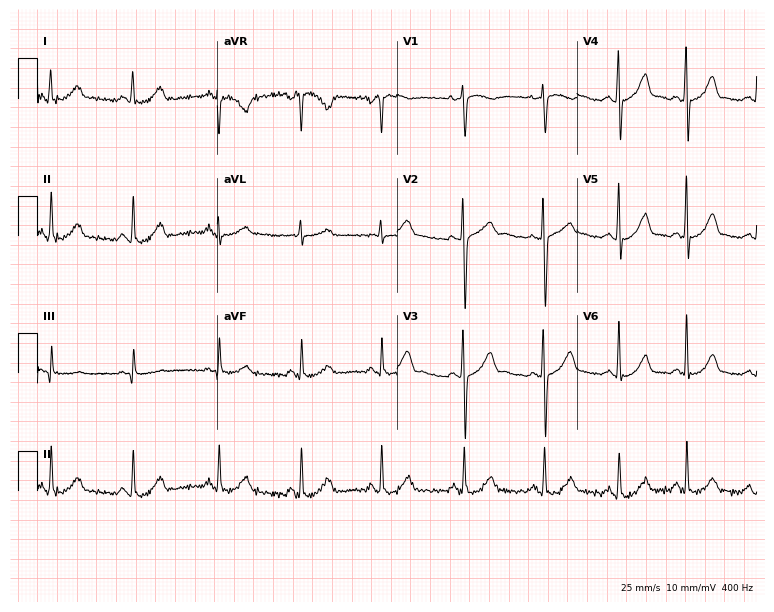
Standard 12-lead ECG recorded from a 19-year-old female. Read as a normal ECG.